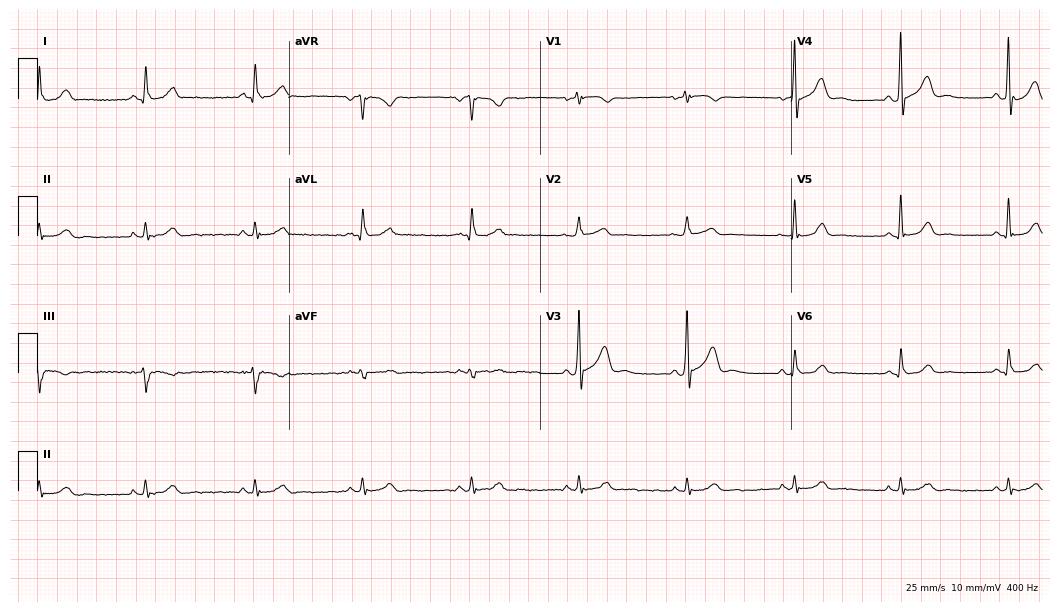
Resting 12-lead electrocardiogram. Patient: a 56-year-old male. Read as a normal ECG.